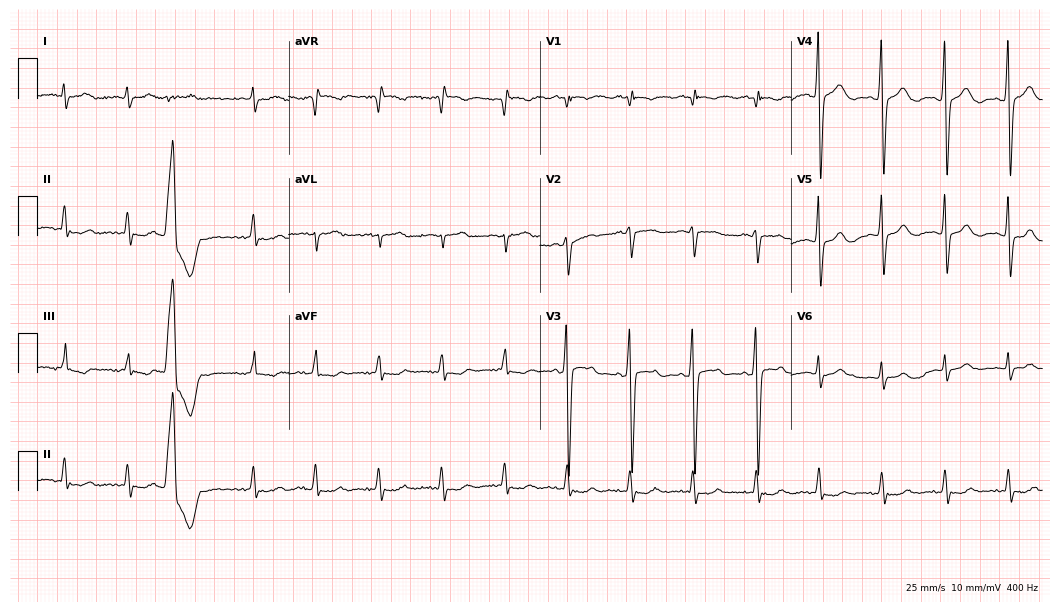
12-lead ECG from an 81-year-old male patient. Recorded interpretation: within normal limits.